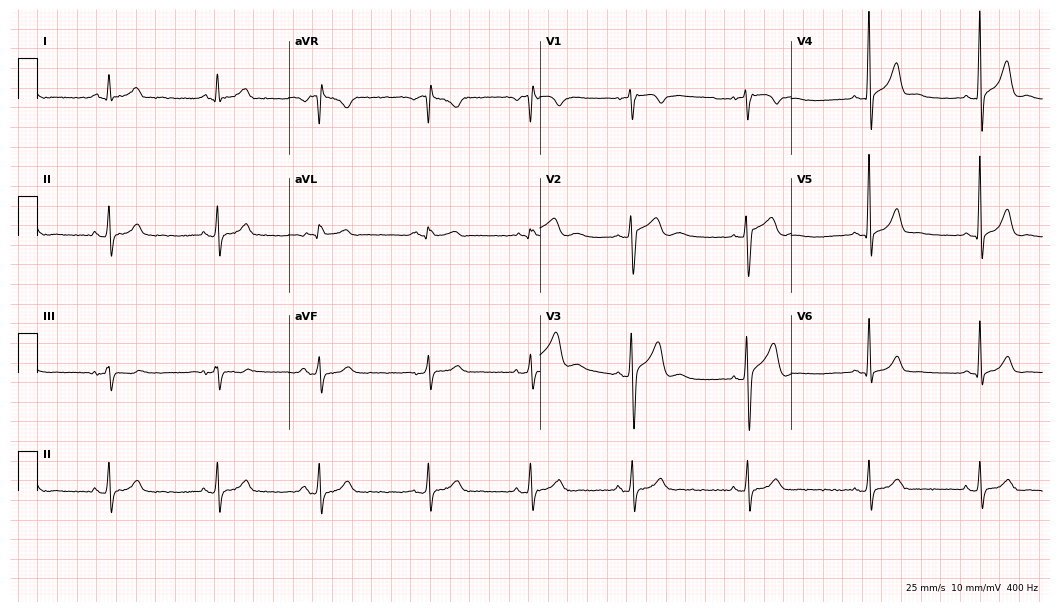
Electrocardiogram (10.2-second recording at 400 Hz), a 32-year-old male. Overall reading on record: normal ECG.